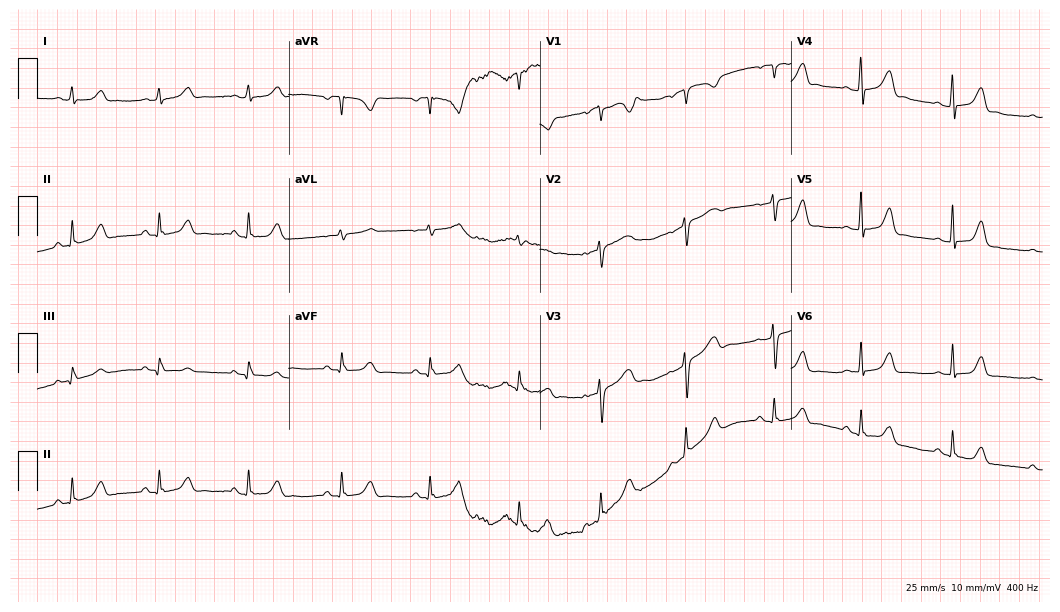
Resting 12-lead electrocardiogram. Patient: a female, 28 years old. Read as a normal ECG.